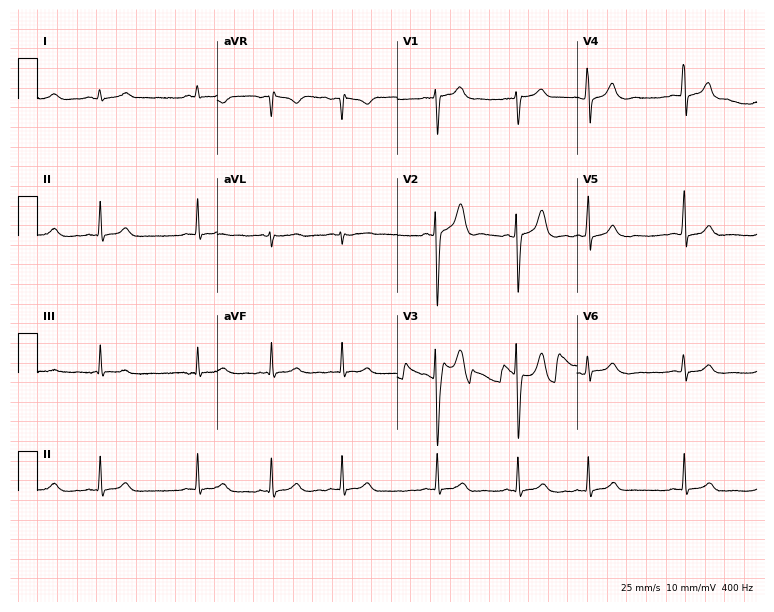
12-lead ECG (7.3-second recording at 400 Hz) from a female patient, 25 years old. Labelled as a normal ECG.